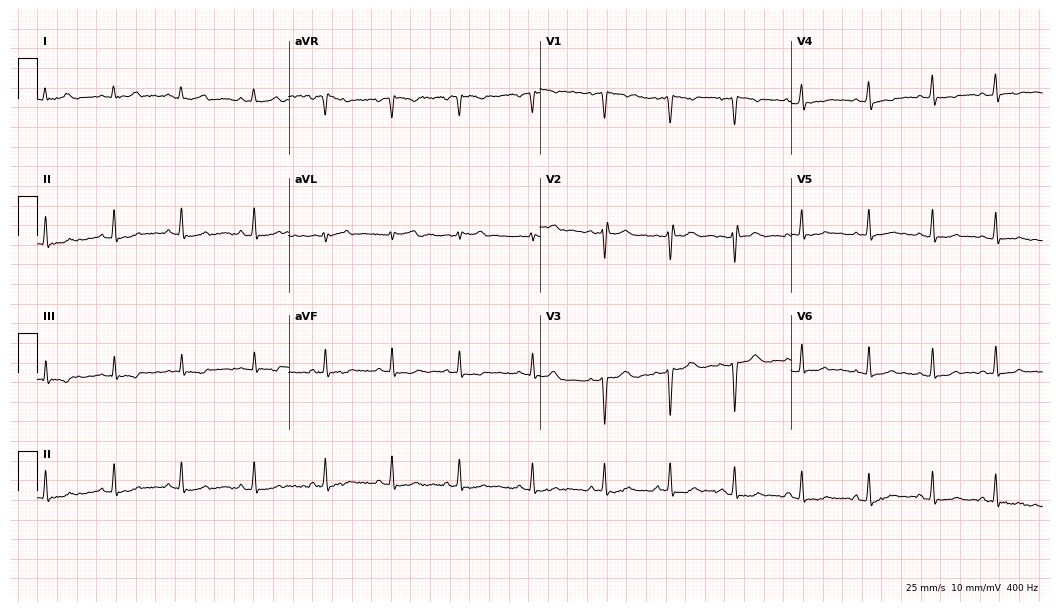
Resting 12-lead electrocardiogram. Patient: an 18-year-old female. None of these six findings is recorded: first-degree AV block, right bundle branch block, left bundle branch block, sinus bradycardia, atrial fibrillation, sinus tachycardia. Findings outside these six are not listed.